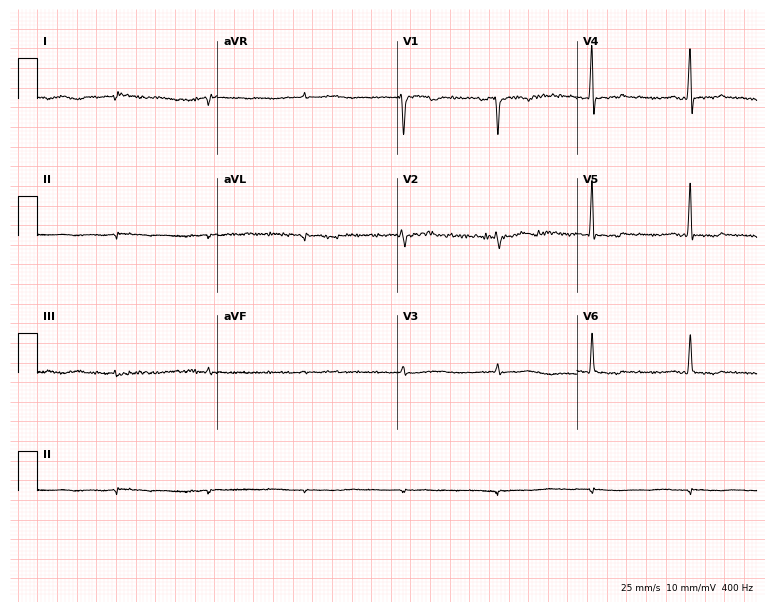
12-lead ECG from a 73-year-old female. No first-degree AV block, right bundle branch block, left bundle branch block, sinus bradycardia, atrial fibrillation or sinus tachycardia recorded for this tracing. Only these six findings were labelled.